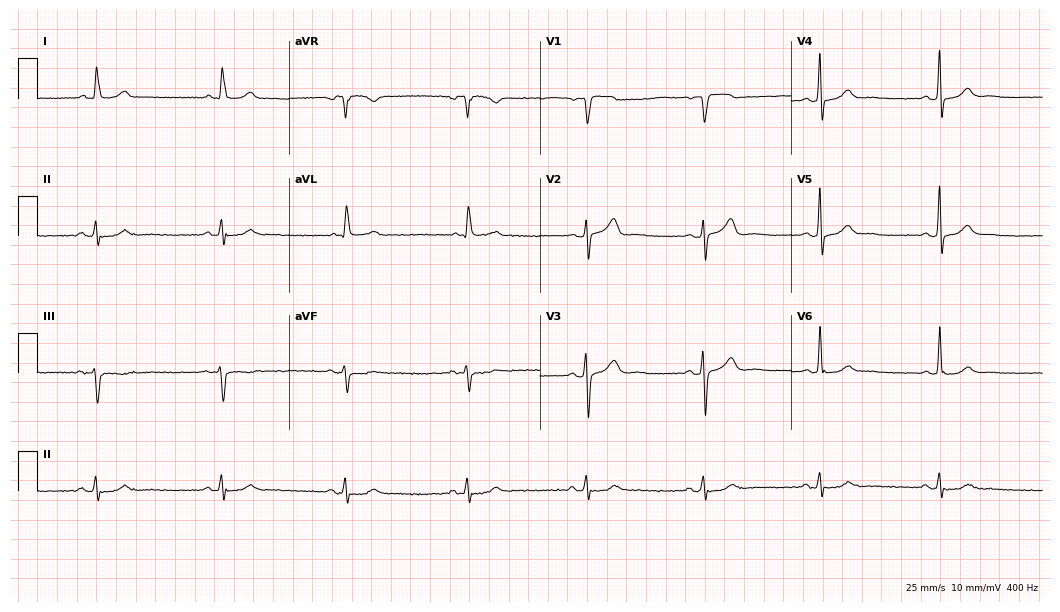
Electrocardiogram (10.2-second recording at 400 Hz), a 65-year-old man. Of the six screened findings (first-degree AV block, right bundle branch block, left bundle branch block, sinus bradycardia, atrial fibrillation, sinus tachycardia), none is recorded.